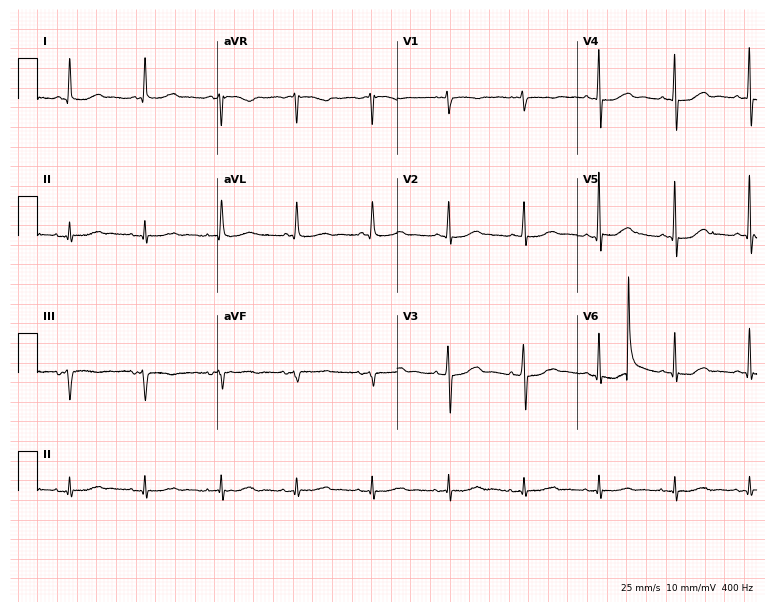
Standard 12-lead ECG recorded from an 81-year-old female patient (7.3-second recording at 400 Hz). None of these six findings is recorded: first-degree AV block, right bundle branch block, left bundle branch block, sinus bradycardia, atrial fibrillation, sinus tachycardia. Findings outside these six are not listed.